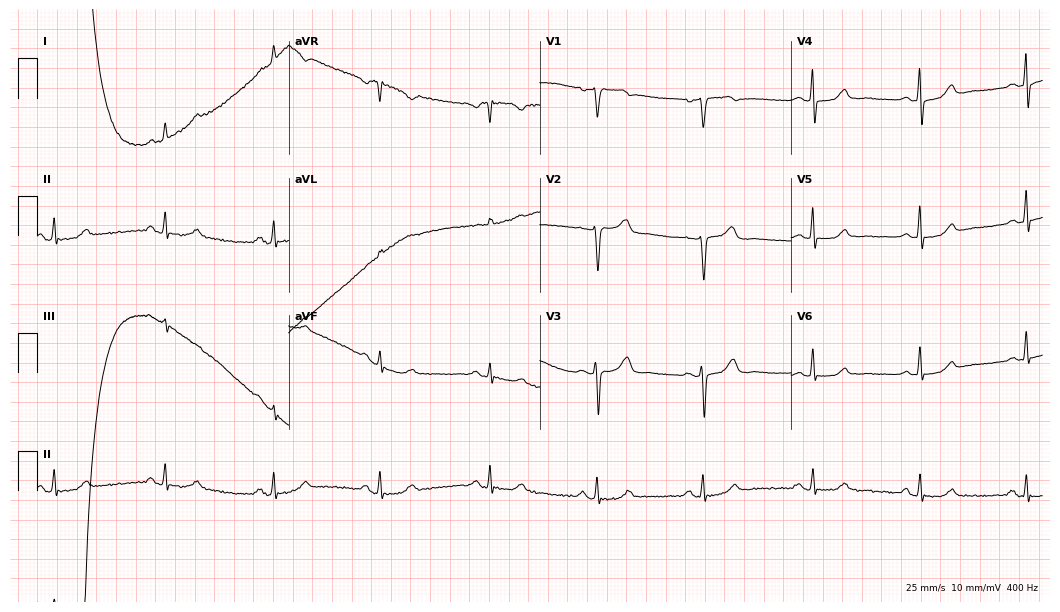
Standard 12-lead ECG recorded from a female patient, 74 years old (10.2-second recording at 400 Hz). None of these six findings is recorded: first-degree AV block, right bundle branch block (RBBB), left bundle branch block (LBBB), sinus bradycardia, atrial fibrillation (AF), sinus tachycardia.